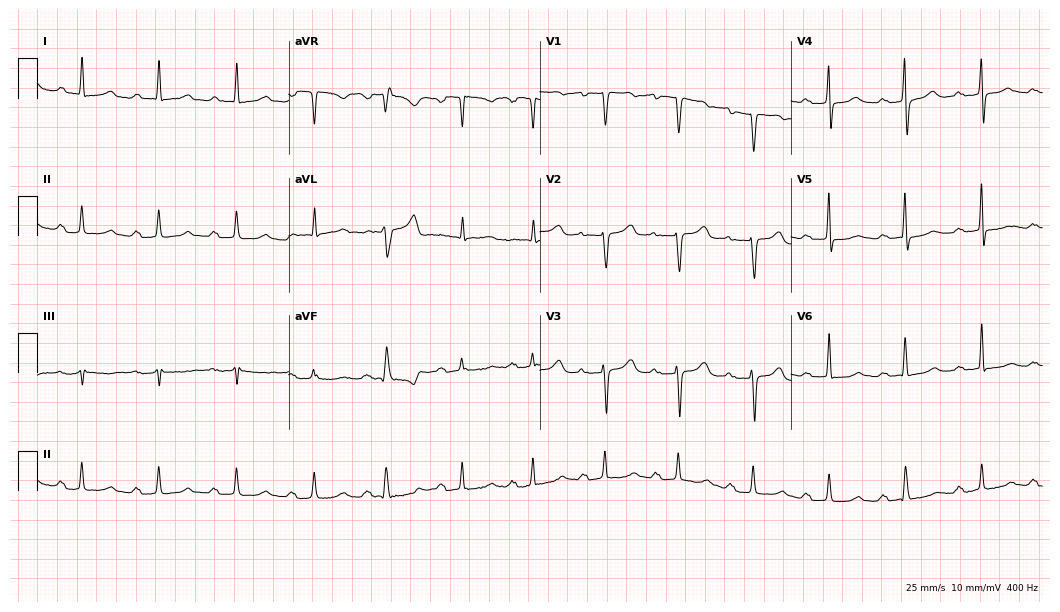
12-lead ECG from a 70-year-old woman. Findings include first-degree AV block.